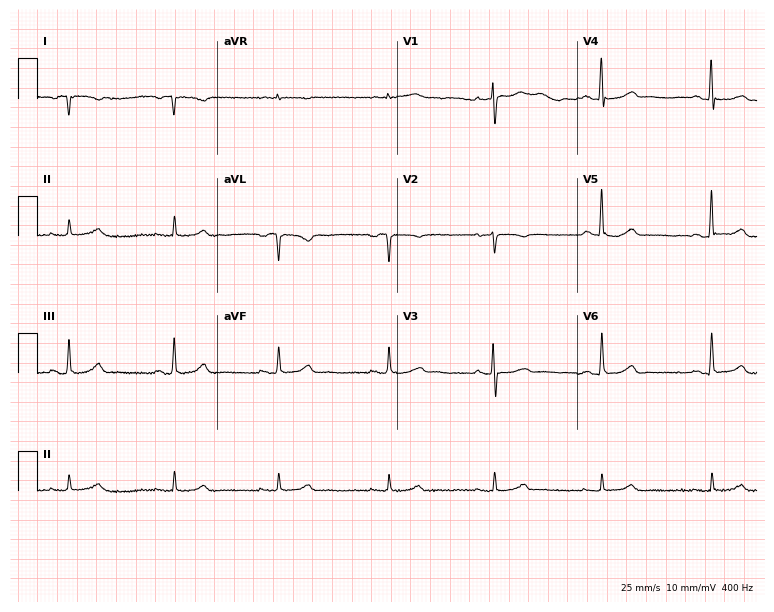
ECG (7.3-second recording at 400 Hz) — a female patient, 62 years old. Labelled as a normal ECG.